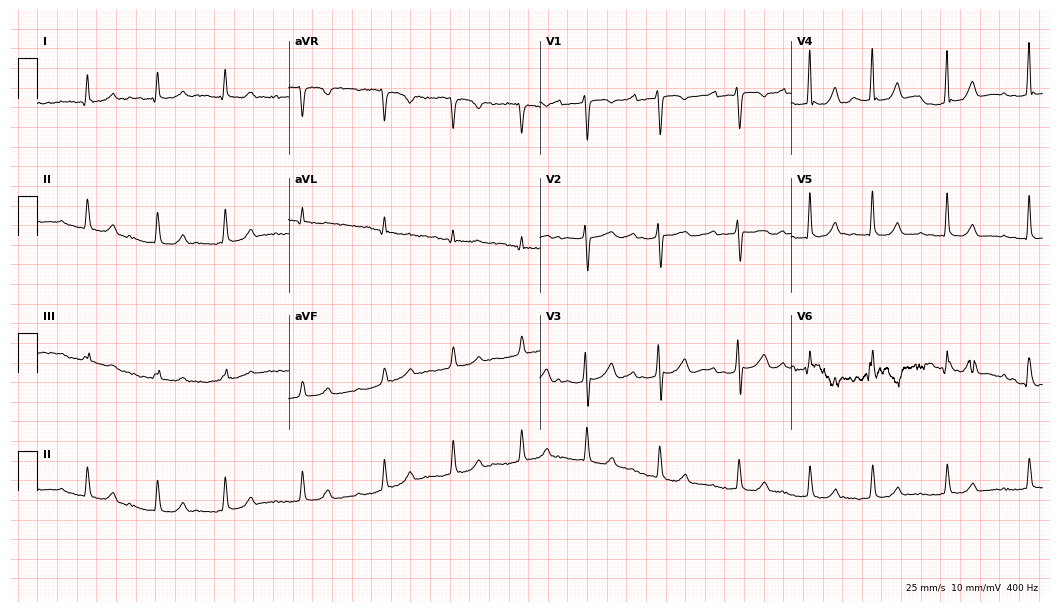
ECG — a 45-year-old female. Findings include first-degree AV block.